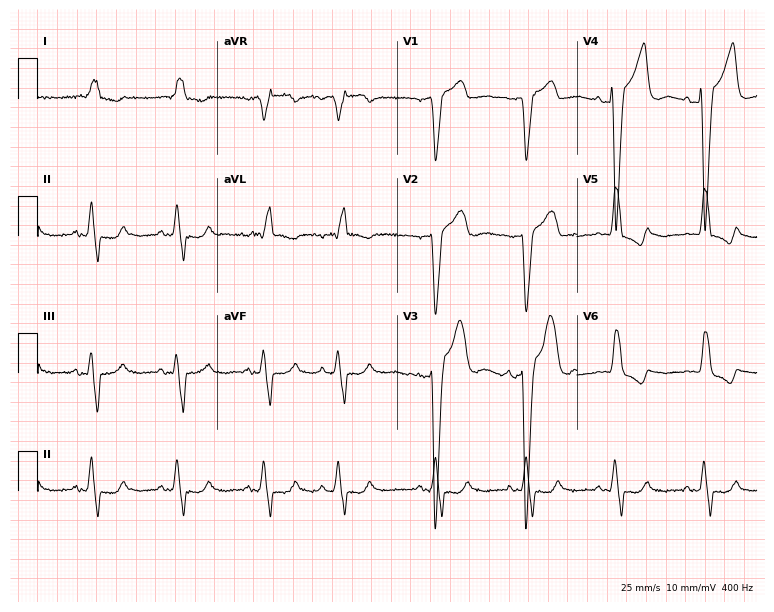
12-lead ECG from an 85-year-old male patient. Findings include left bundle branch block.